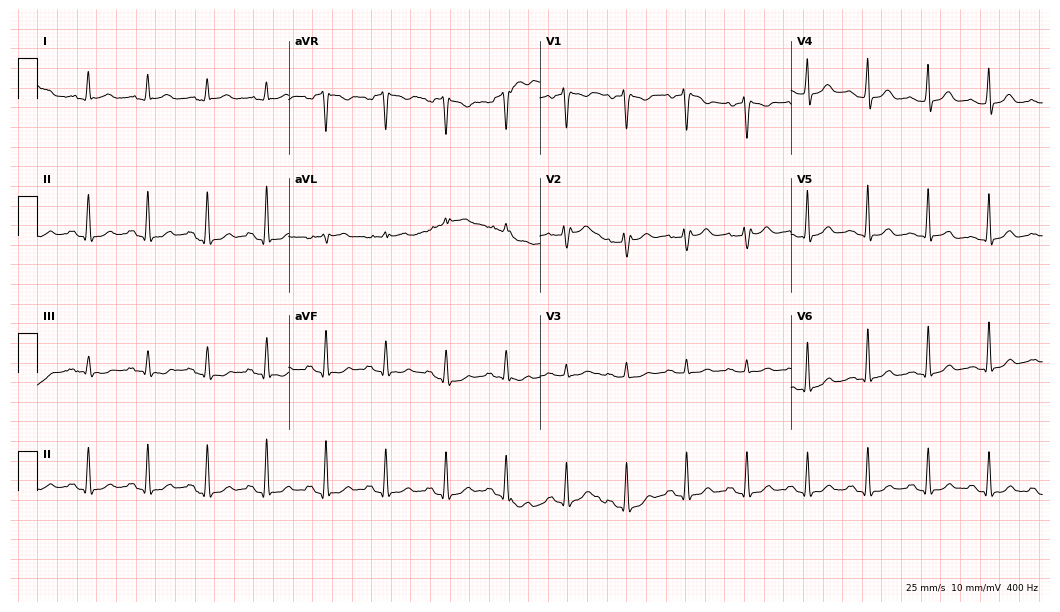
Resting 12-lead electrocardiogram. Patient: a 43-year-old female. Read as a normal ECG.